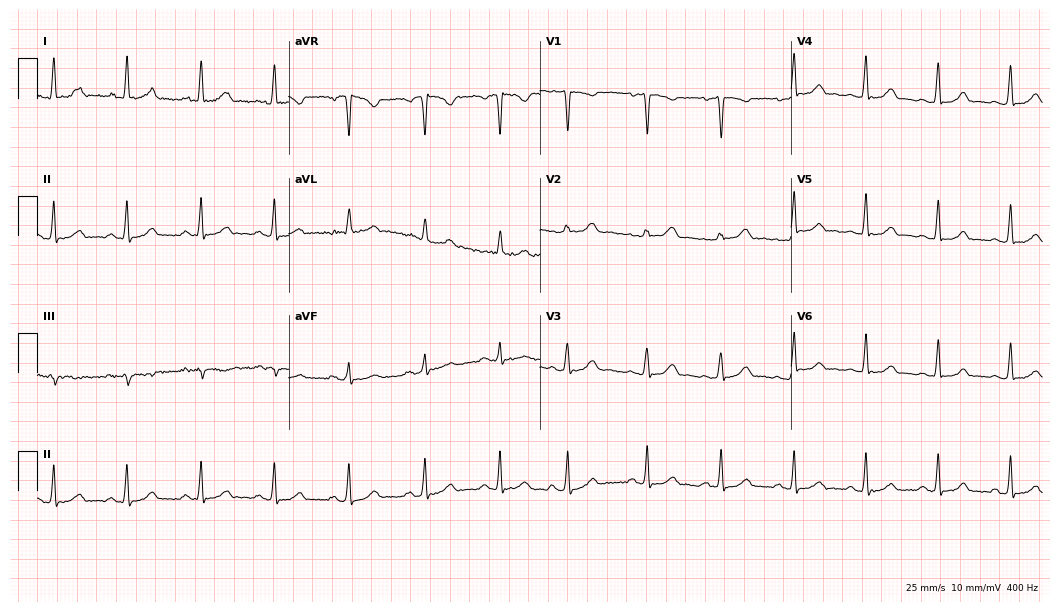
12-lead ECG from a female patient, 30 years old (10.2-second recording at 400 Hz). Recorded interpretation: within normal limits.